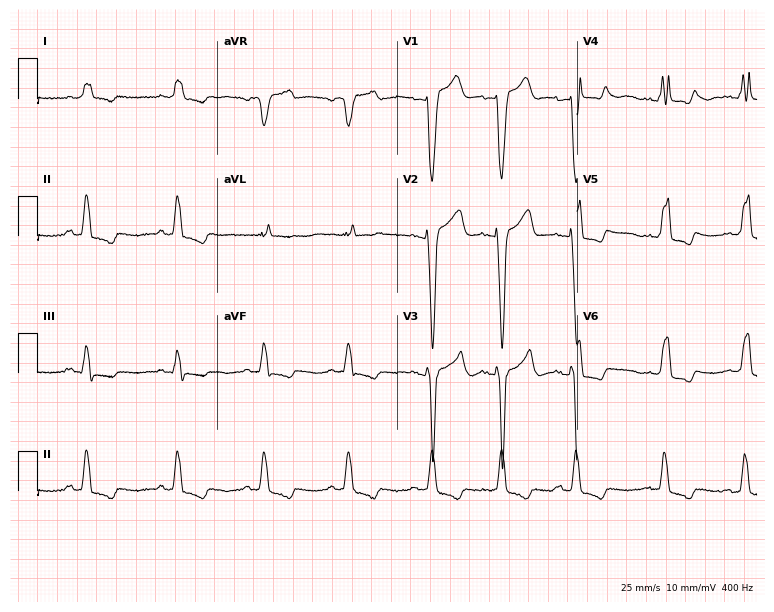
12-lead ECG (7.3-second recording at 400 Hz) from a 74-year-old male. Findings include left bundle branch block.